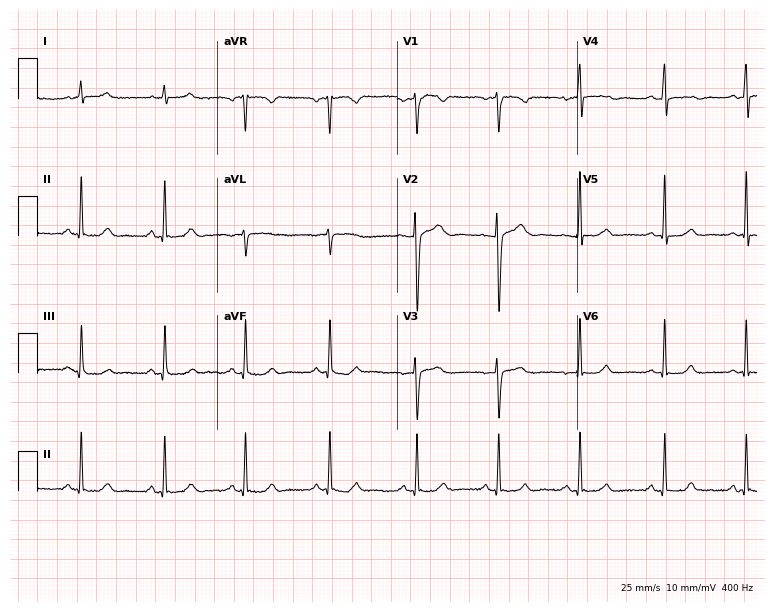
12-lead ECG from a 33-year-old female patient. Screened for six findings — first-degree AV block, right bundle branch block, left bundle branch block, sinus bradycardia, atrial fibrillation, sinus tachycardia — none is recorded.